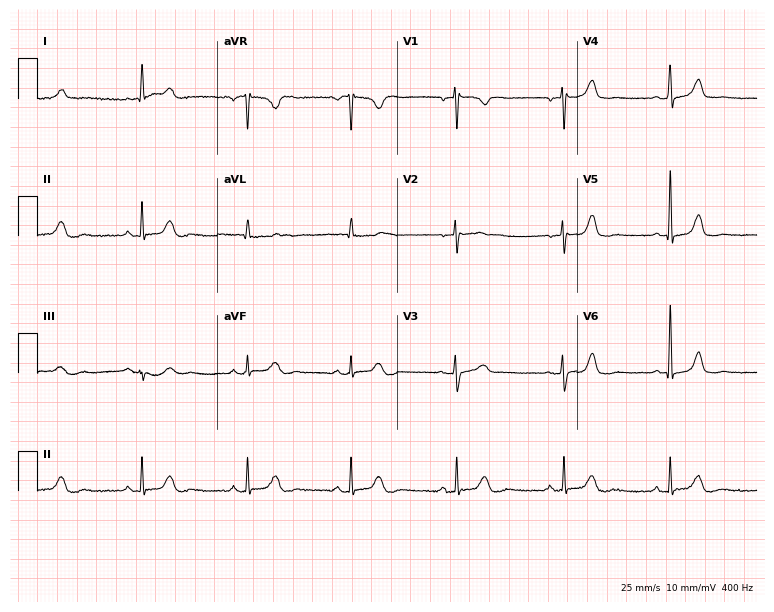
12-lead ECG from a female, 62 years old. Labelled as a normal ECG.